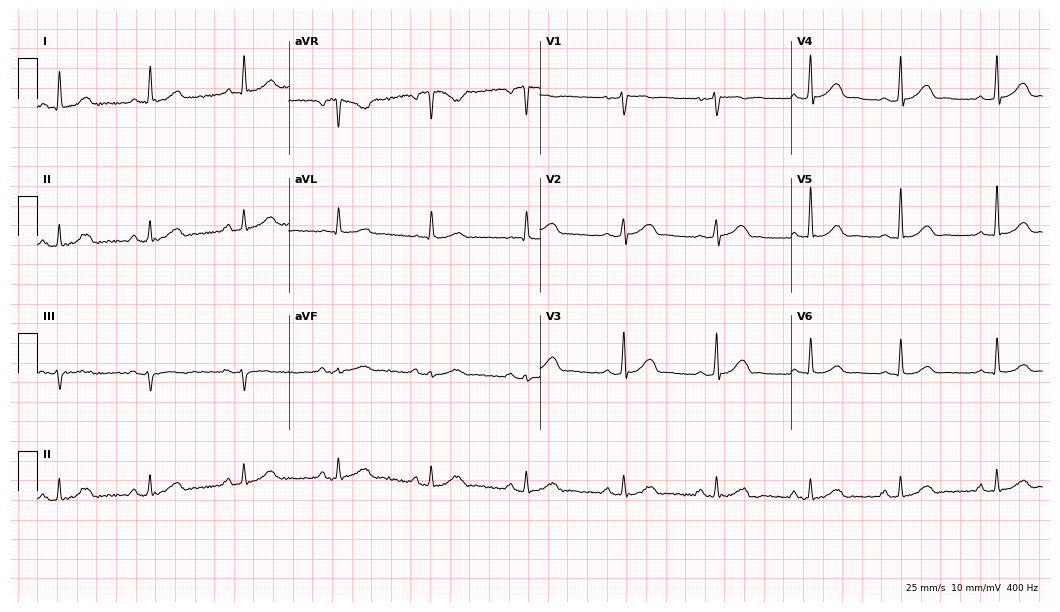
Standard 12-lead ECG recorded from a 59-year-old male patient (10.2-second recording at 400 Hz). Read as a normal ECG.